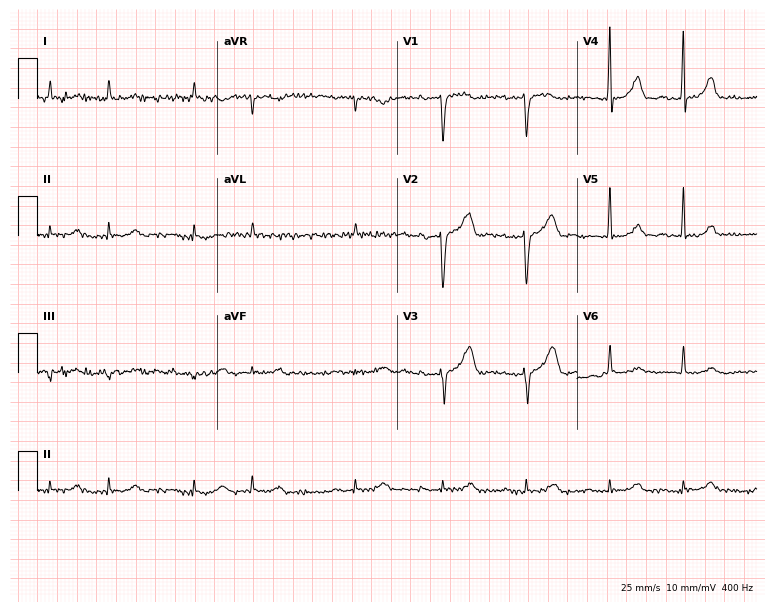
12-lead ECG (7.3-second recording at 400 Hz) from an 85-year-old male. Screened for six findings — first-degree AV block, right bundle branch block (RBBB), left bundle branch block (LBBB), sinus bradycardia, atrial fibrillation (AF), sinus tachycardia — none is recorded.